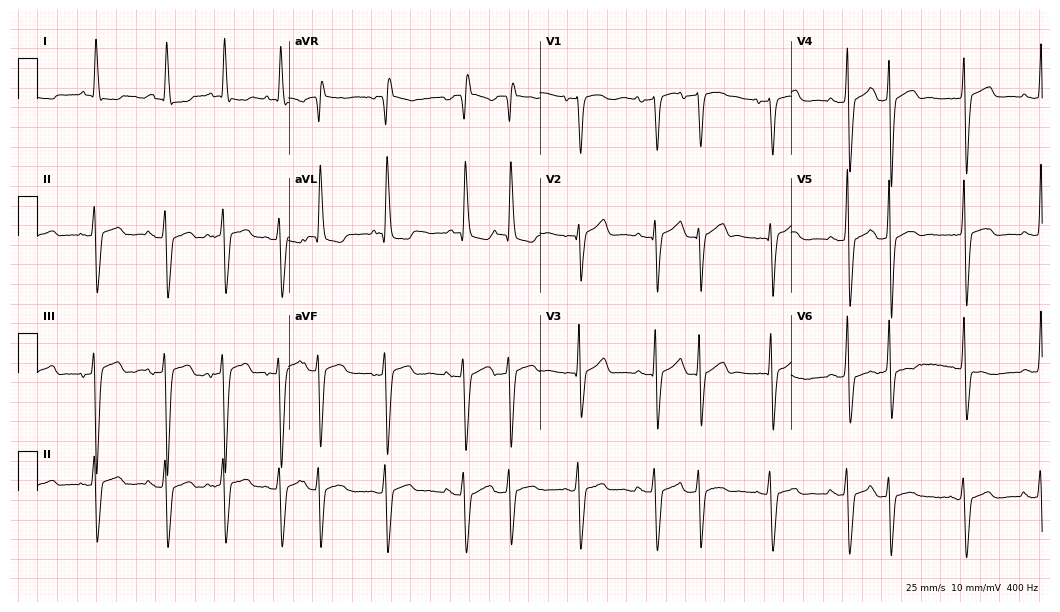
ECG — an 85-year-old woman. Screened for six findings — first-degree AV block, right bundle branch block, left bundle branch block, sinus bradycardia, atrial fibrillation, sinus tachycardia — none is recorded.